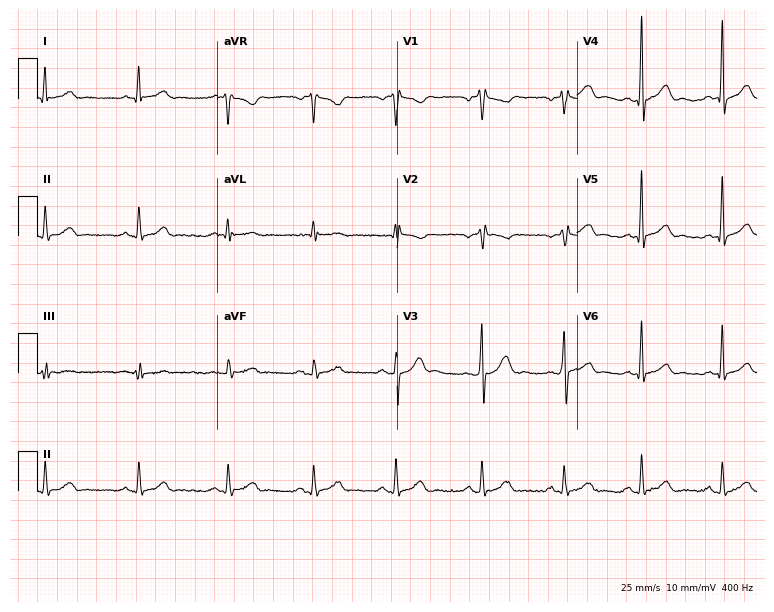
ECG — a man, 32 years old. Screened for six findings — first-degree AV block, right bundle branch block (RBBB), left bundle branch block (LBBB), sinus bradycardia, atrial fibrillation (AF), sinus tachycardia — none is recorded.